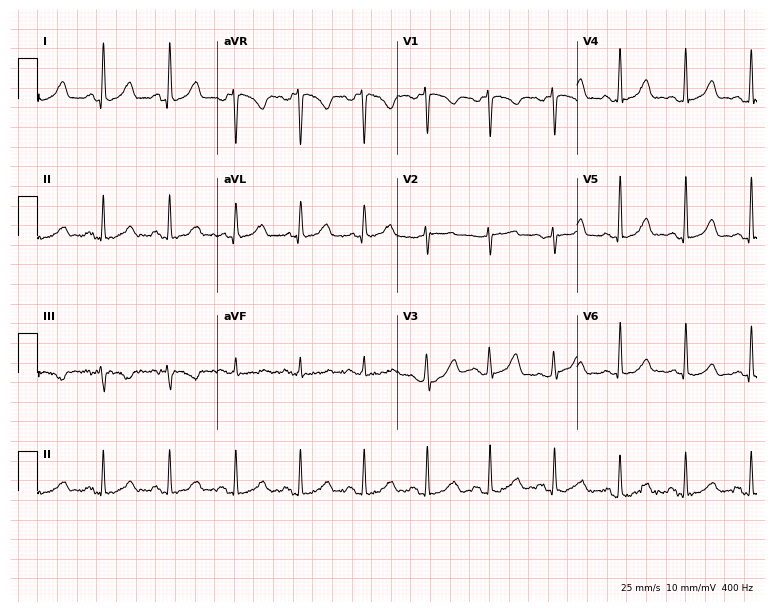
Standard 12-lead ECG recorded from a 40-year-old woman. Read as a normal ECG.